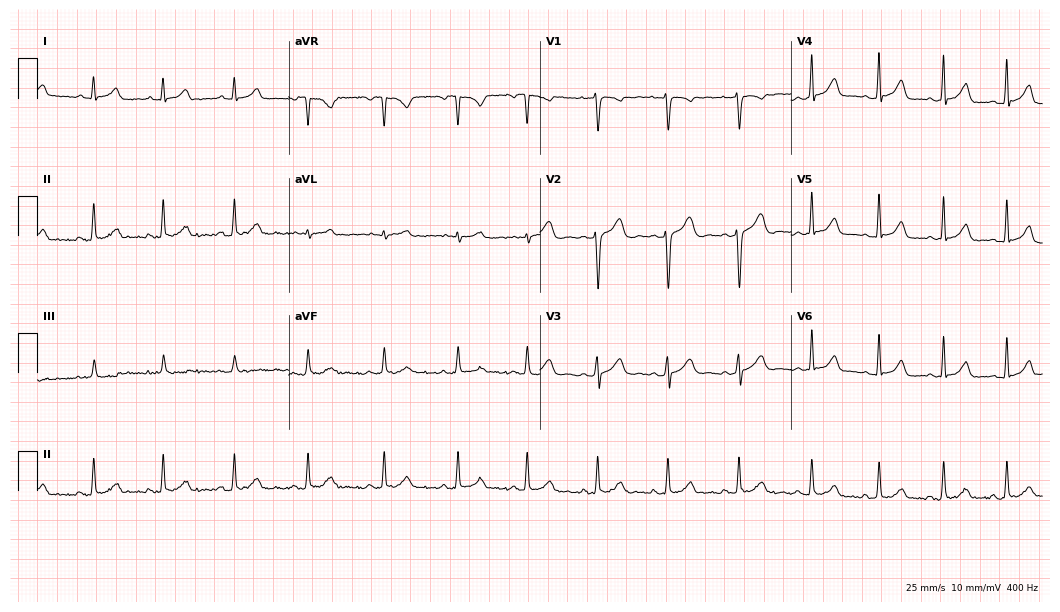
Resting 12-lead electrocardiogram (10.2-second recording at 400 Hz). Patient: a 21-year-old woman. None of these six findings is recorded: first-degree AV block, right bundle branch block, left bundle branch block, sinus bradycardia, atrial fibrillation, sinus tachycardia. Other findings, if any, are not listed.